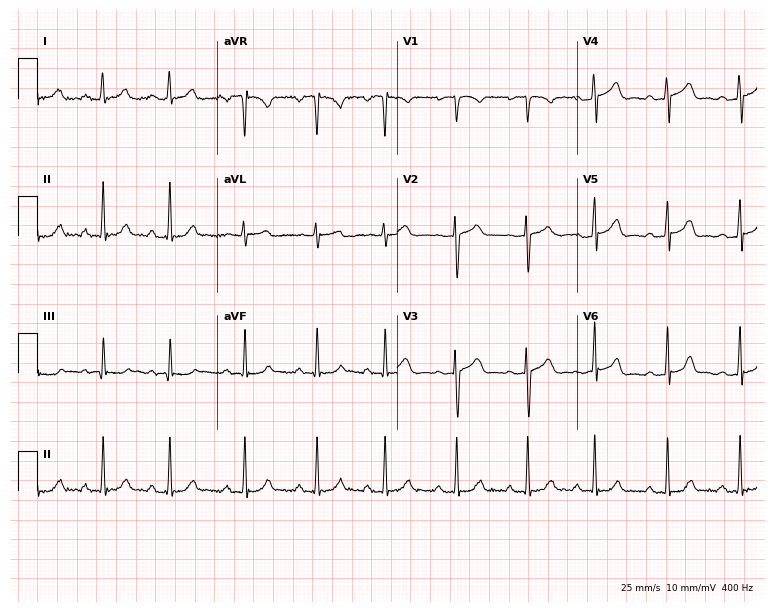
ECG (7.3-second recording at 400 Hz) — a 27-year-old woman. Labelled as a normal ECG.